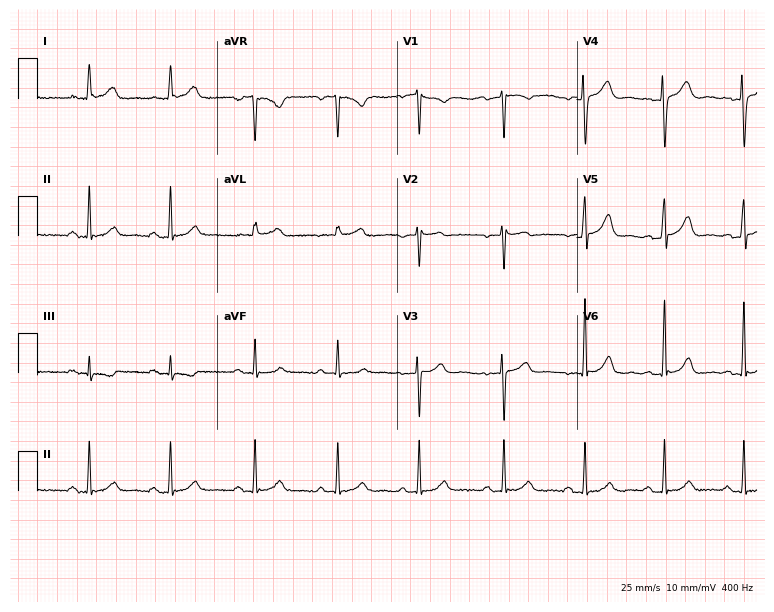
ECG — a 35-year-old woman. Labelled as a normal ECG.